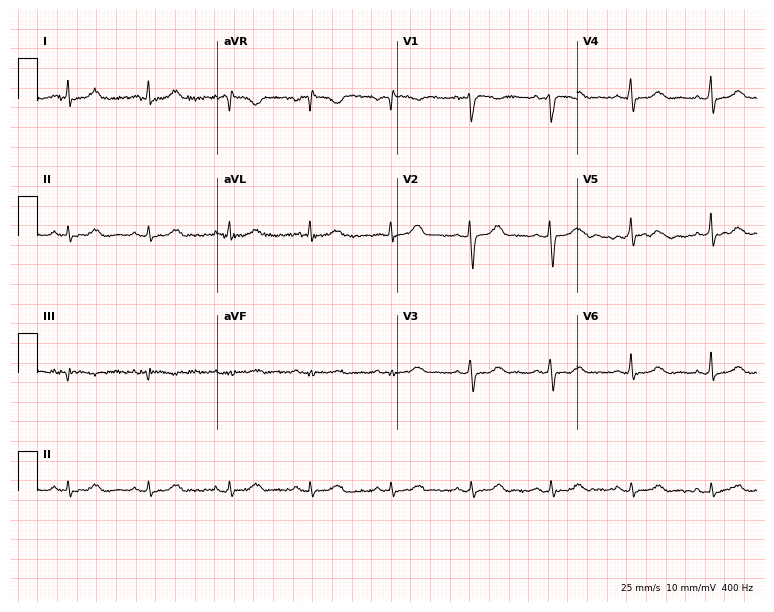
12-lead ECG from a 64-year-old male patient. Recorded interpretation: within normal limits.